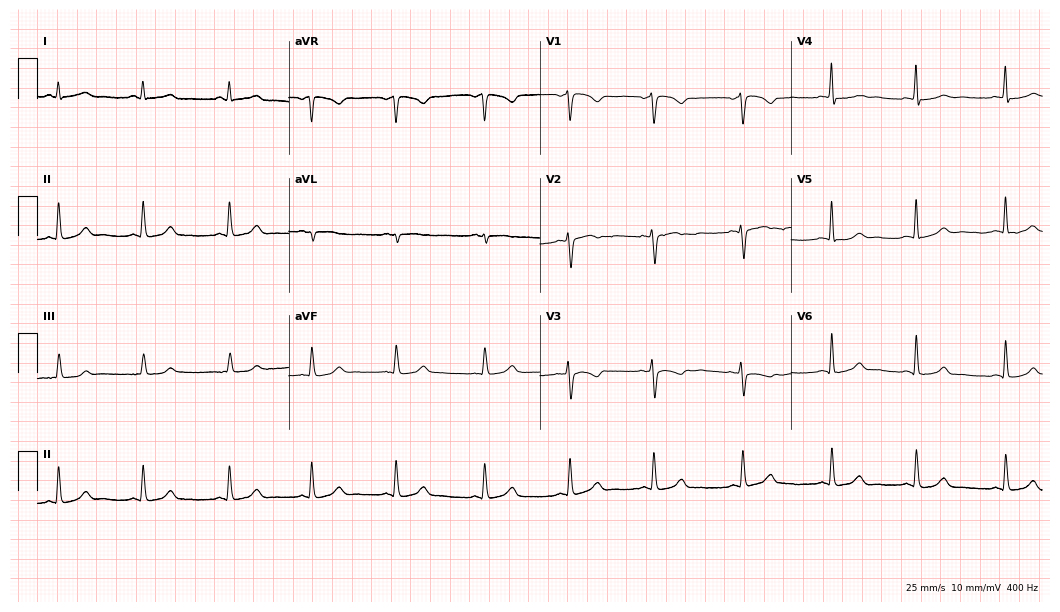
12-lead ECG (10.2-second recording at 400 Hz) from a female, 46 years old. Labelled as a normal ECG.